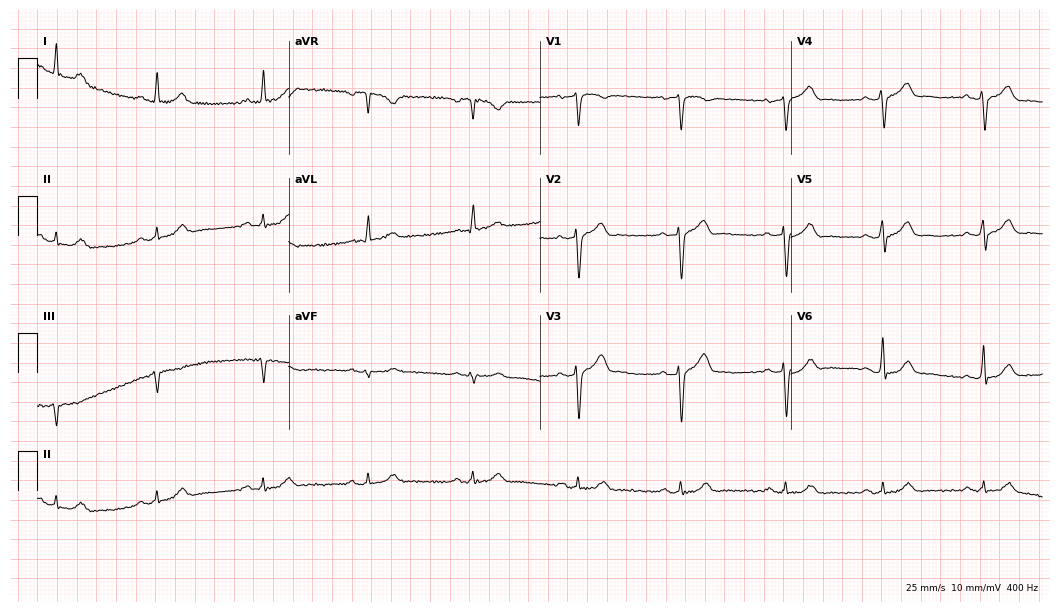
12-lead ECG from a 47-year-old male patient. Recorded interpretation: within normal limits.